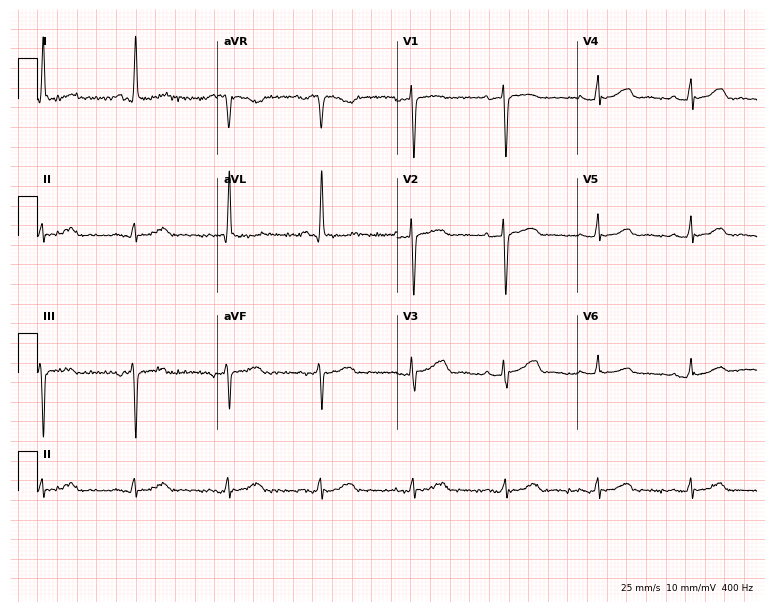
12-lead ECG (7.3-second recording at 400 Hz) from a female, 83 years old. Labelled as a normal ECG.